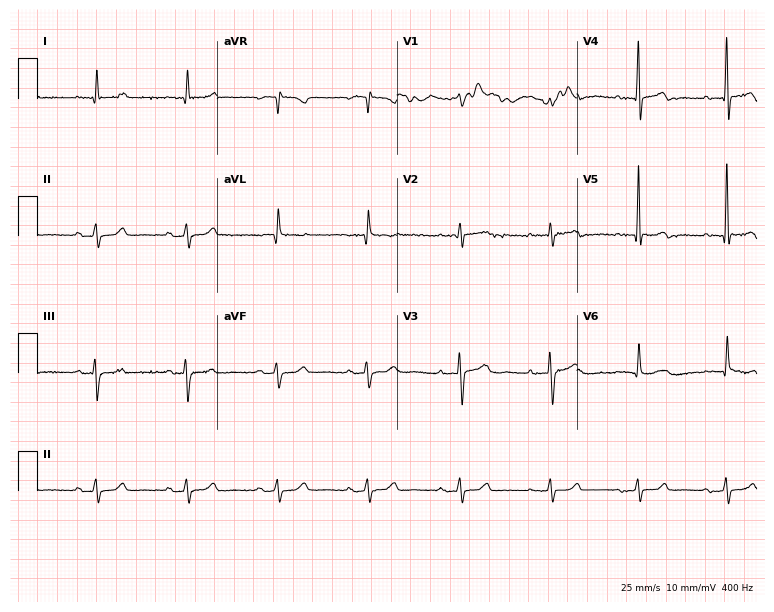
12-lead ECG from a male patient, 80 years old. Recorded interpretation: within normal limits.